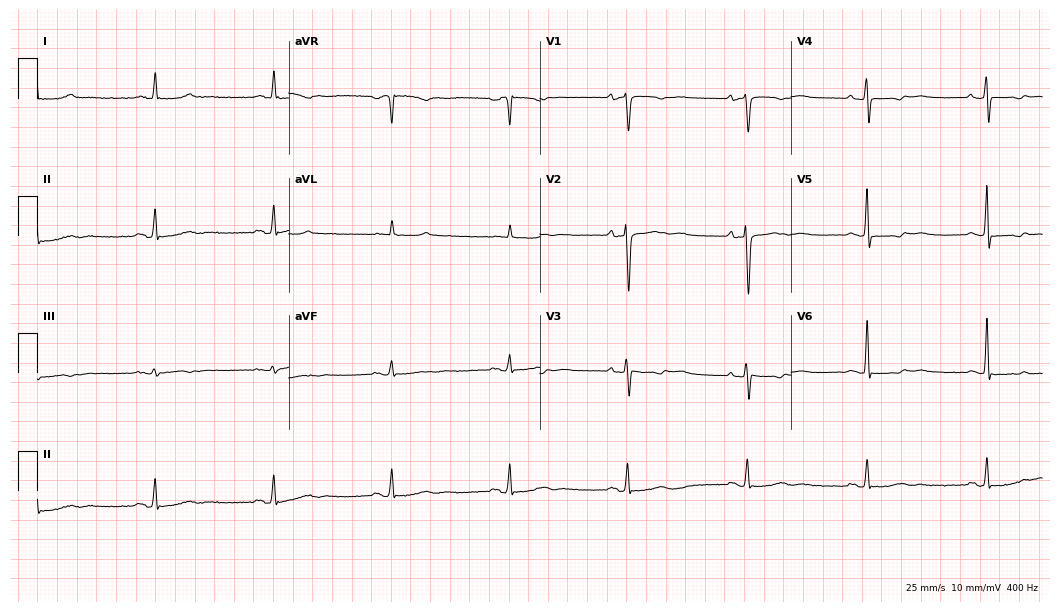
Resting 12-lead electrocardiogram (10.2-second recording at 400 Hz). Patient: a woman, 57 years old. None of these six findings is recorded: first-degree AV block, right bundle branch block, left bundle branch block, sinus bradycardia, atrial fibrillation, sinus tachycardia. Only these six findings were labelled.